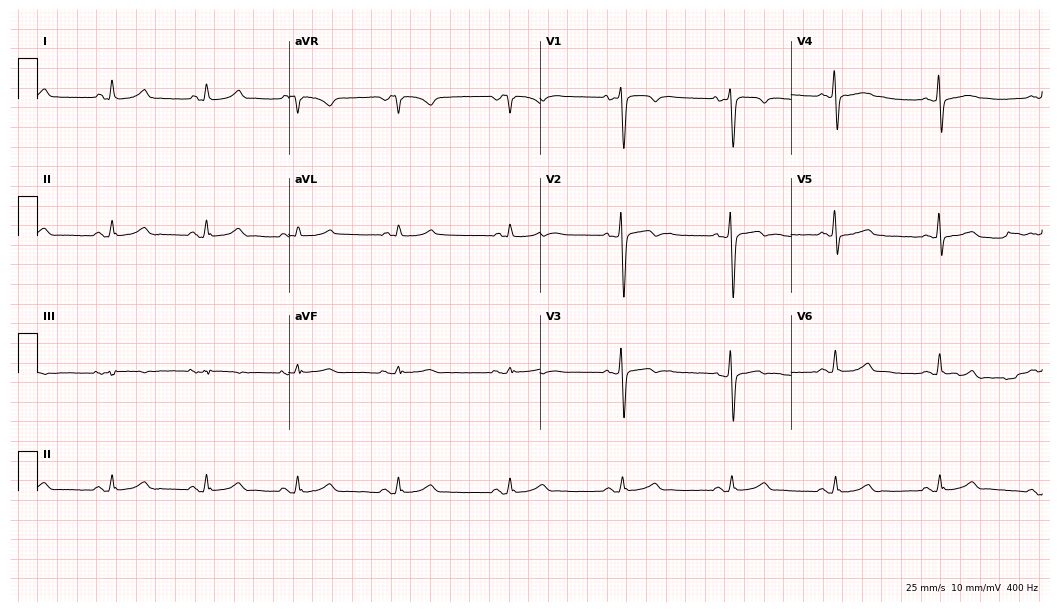
12-lead ECG from a 43-year-old male patient (10.2-second recording at 400 Hz). No first-degree AV block, right bundle branch block, left bundle branch block, sinus bradycardia, atrial fibrillation or sinus tachycardia recorded for this tracing.